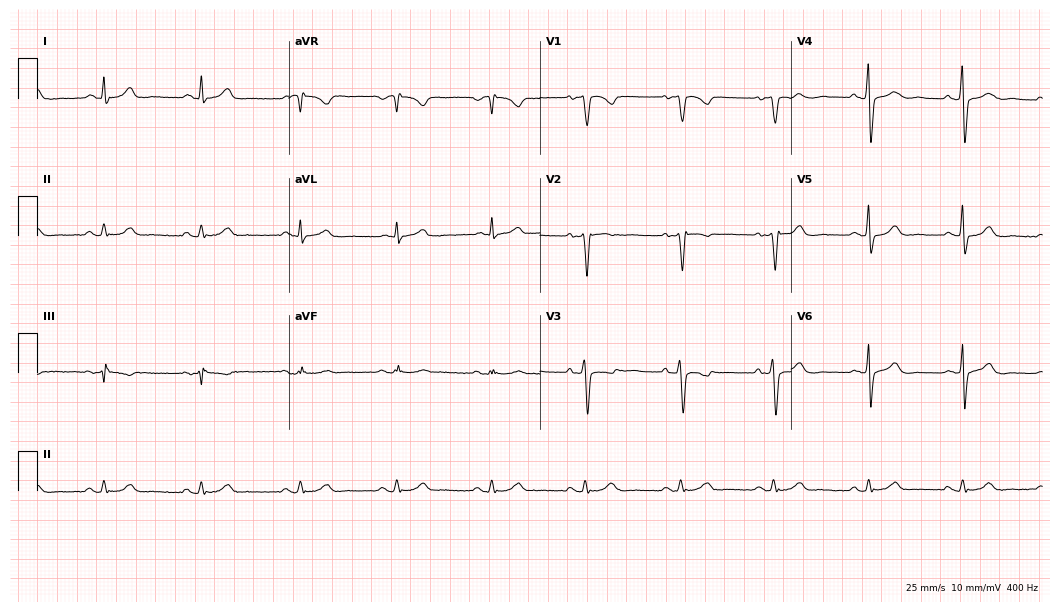
Electrocardiogram, a 52-year-old male. Overall reading on record: normal ECG.